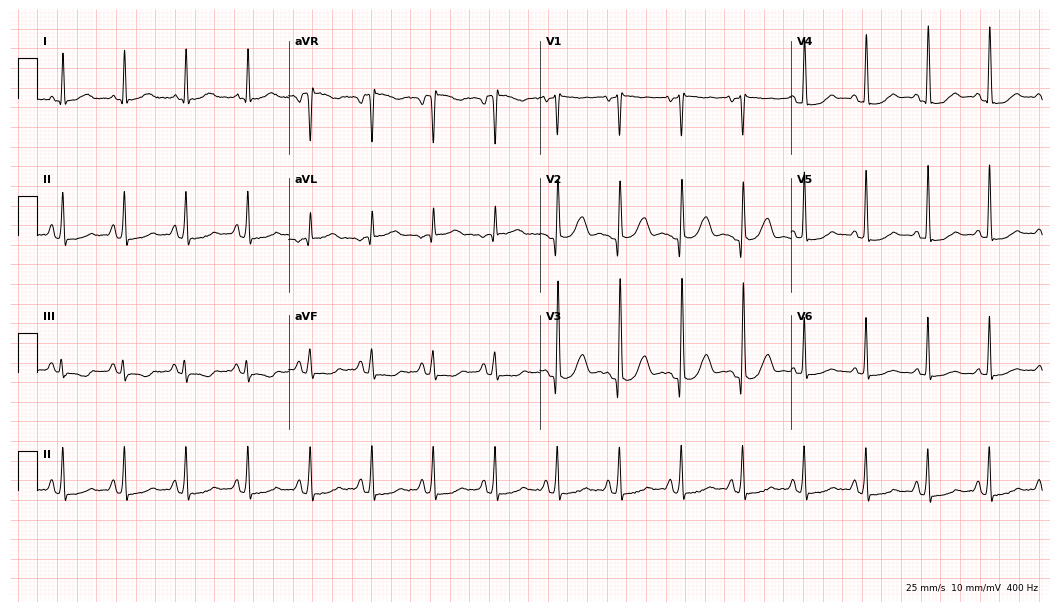
Resting 12-lead electrocardiogram. Patient: a 72-year-old woman. None of these six findings is recorded: first-degree AV block, right bundle branch block (RBBB), left bundle branch block (LBBB), sinus bradycardia, atrial fibrillation (AF), sinus tachycardia. Other findings, if any, are not listed.